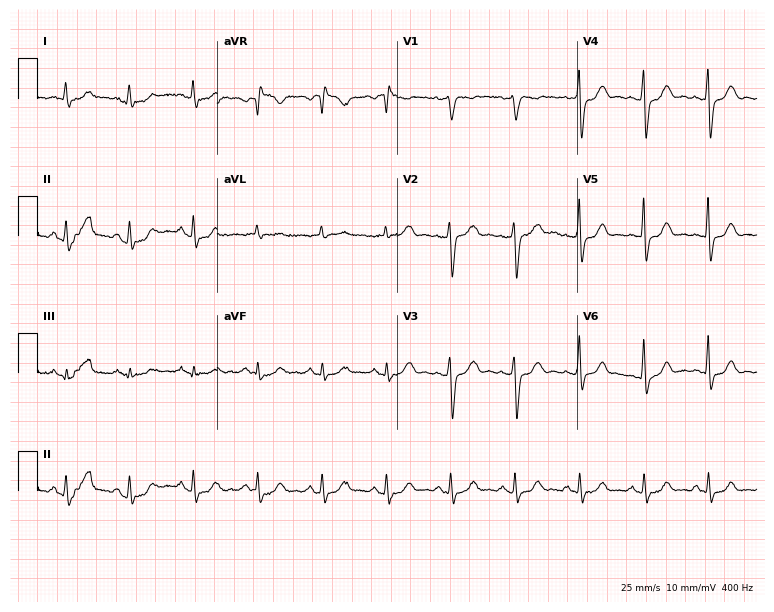
ECG (7.3-second recording at 400 Hz) — a 64-year-old male patient. Labelled as a normal ECG.